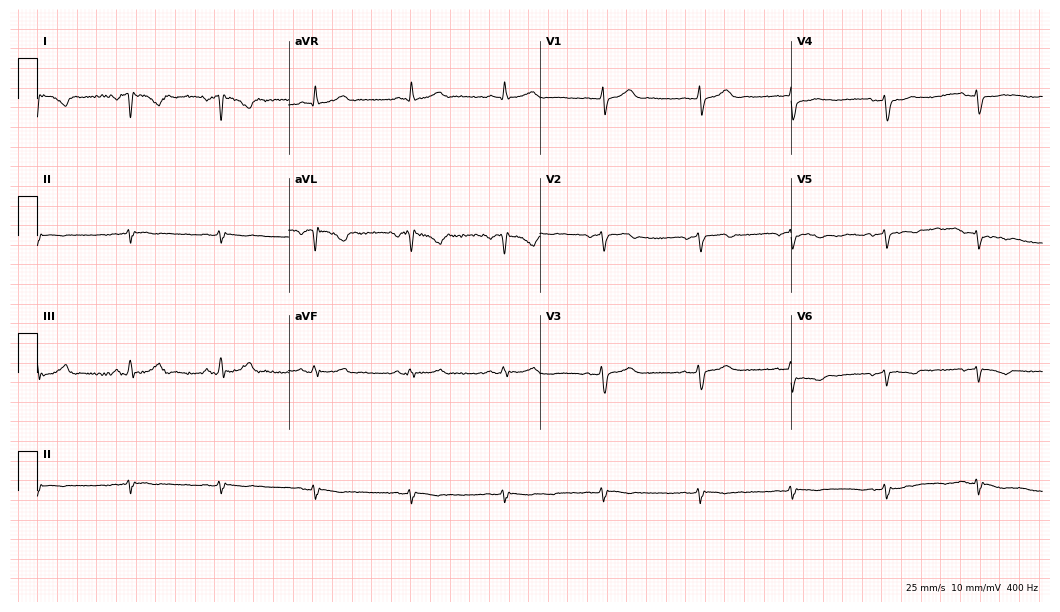
ECG (10.2-second recording at 400 Hz) — a male patient, 56 years old. Screened for six findings — first-degree AV block, right bundle branch block, left bundle branch block, sinus bradycardia, atrial fibrillation, sinus tachycardia — none is recorded.